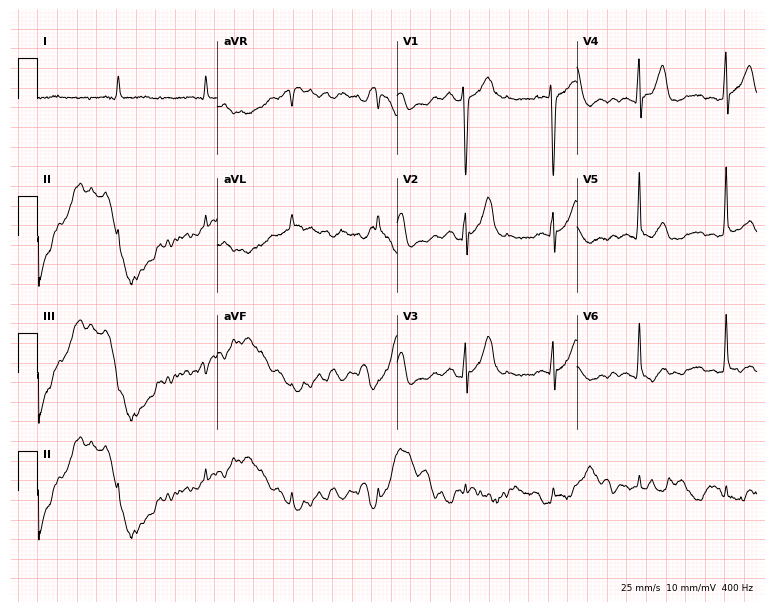
12-lead ECG from a man, 83 years old. Labelled as a normal ECG.